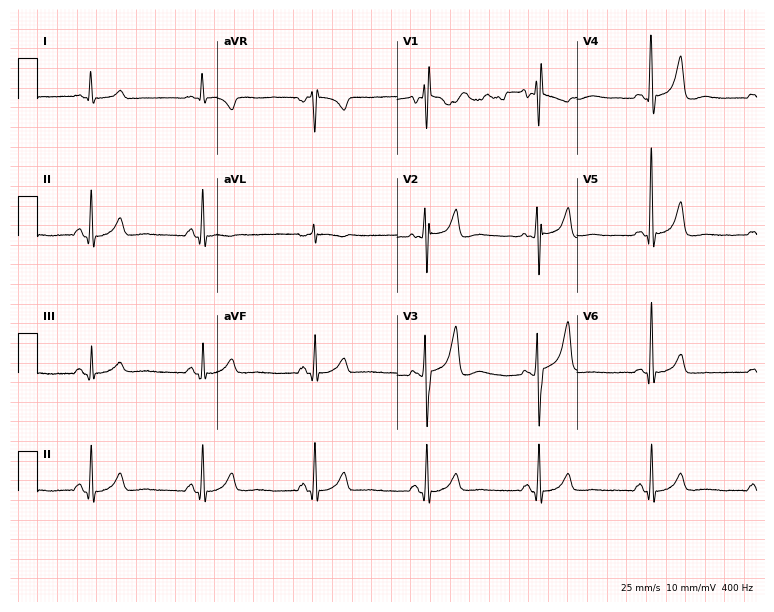
Resting 12-lead electrocardiogram (7.3-second recording at 400 Hz). Patient: a 51-year-old man. None of these six findings is recorded: first-degree AV block, right bundle branch block, left bundle branch block, sinus bradycardia, atrial fibrillation, sinus tachycardia.